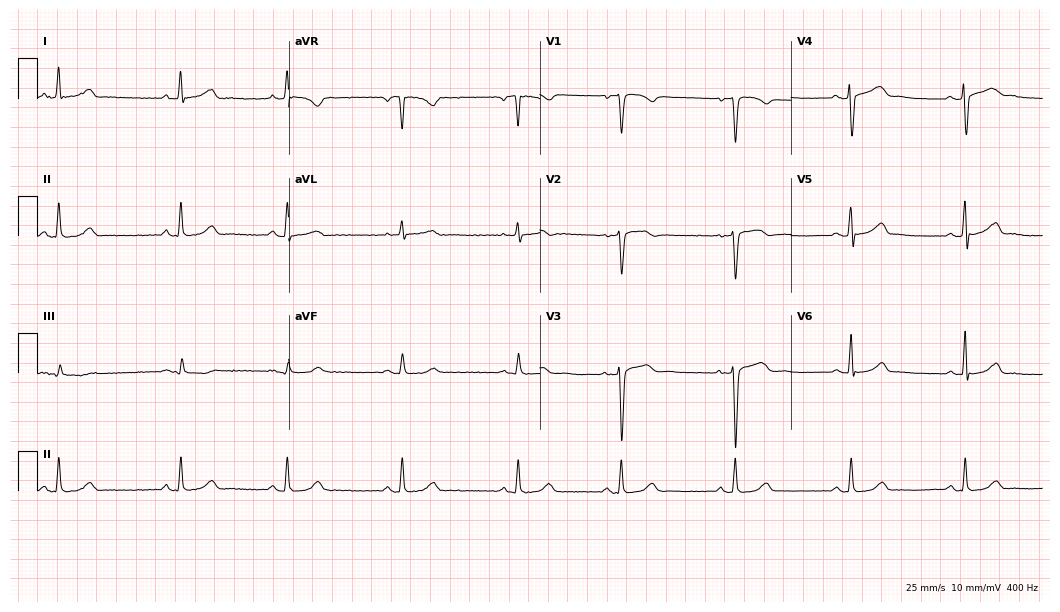
Electrocardiogram (10.2-second recording at 400 Hz), a 37-year-old female patient. Overall reading on record: normal ECG.